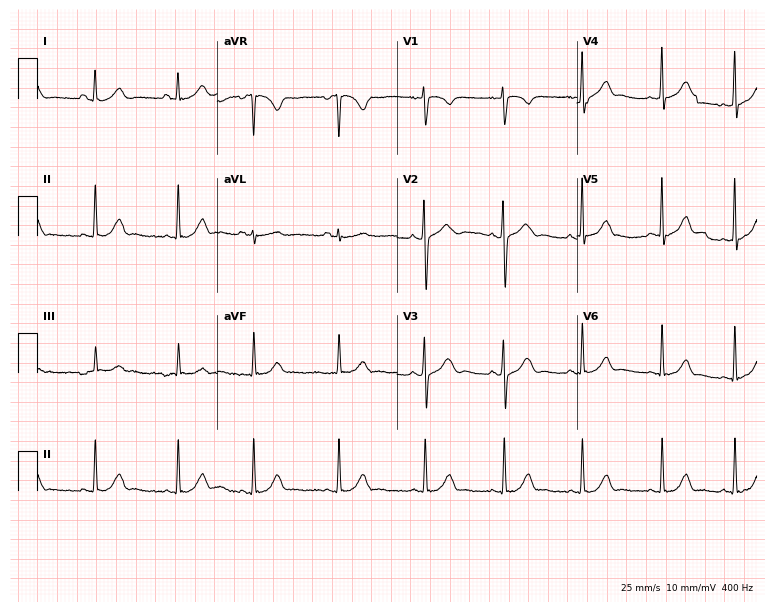
12-lead ECG from a 22-year-old woman (7.3-second recording at 400 Hz). Recorded interpretation: within normal limits.